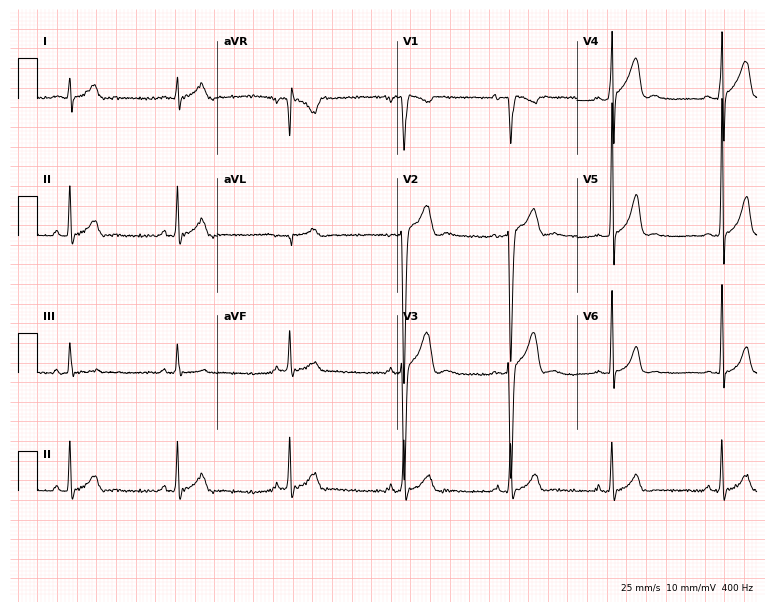
12-lead ECG from a man, 19 years old. Labelled as a normal ECG.